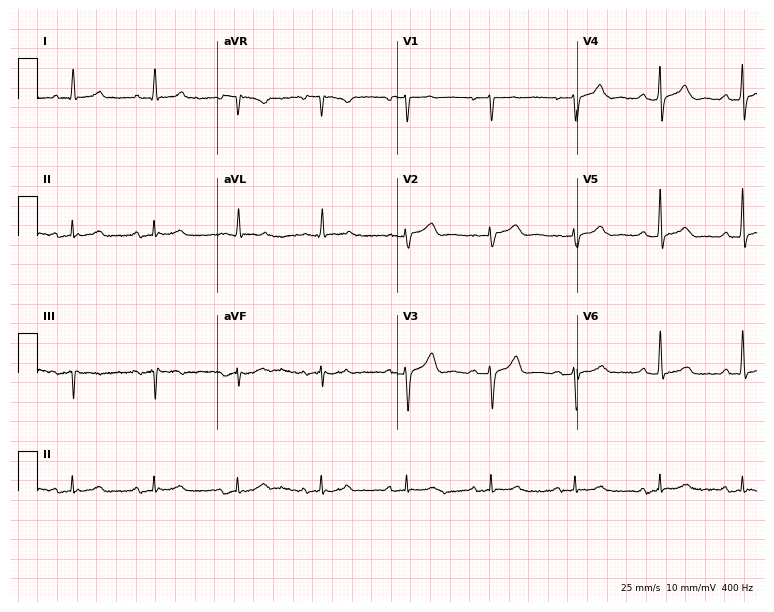
Resting 12-lead electrocardiogram (7.3-second recording at 400 Hz). Patient: a 45-year-old woman. Read as a normal ECG.